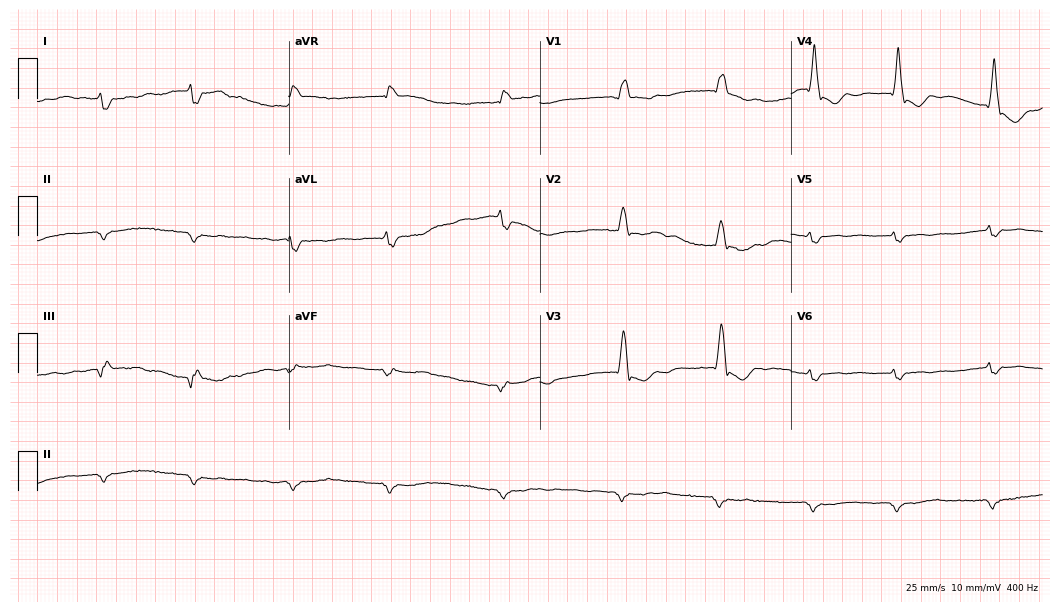
ECG — a man, 84 years old. Screened for six findings — first-degree AV block, right bundle branch block (RBBB), left bundle branch block (LBBB), sinus bradycardia, atrial fibrillation (AF), sinus tachycardia — none is recorded. Findings outside these six are not listed.